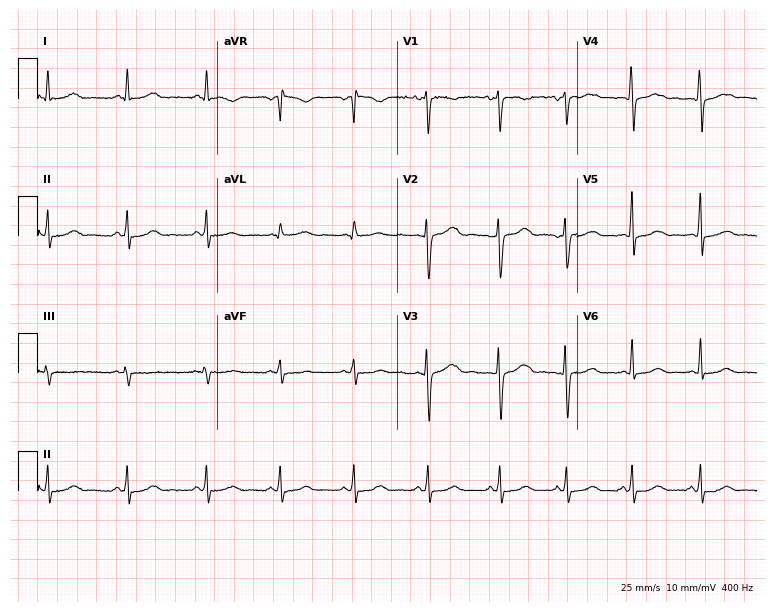
Standard 12-lead ECG recorded from a female patient, 32 years old. Read as a normal ECG.